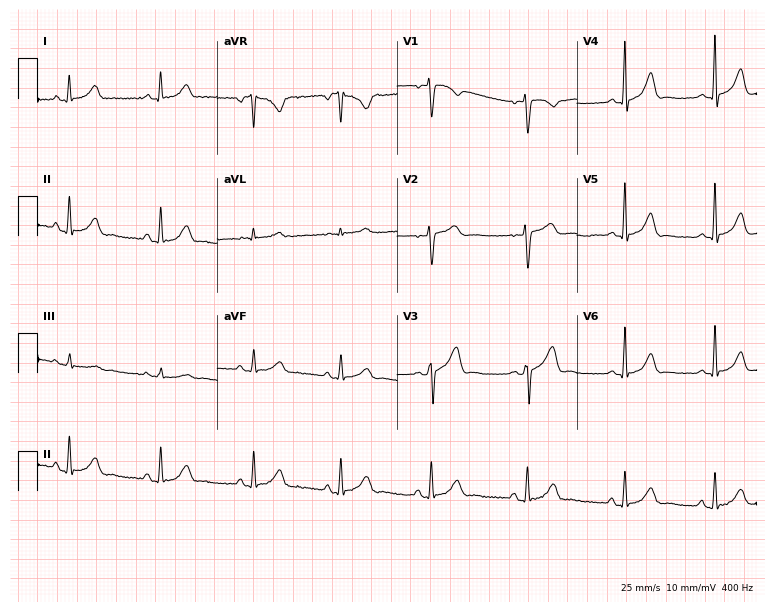
ECG — a female patient, 29 years old. Screened for six findings — first-degree AV block, right bundle branch block (RBBB), left bundle branch block (LBBB), sinus bradycardia, atrial fibrillation (AF), sinus tachycardia — none is recorded. Only these six findings were labelled.